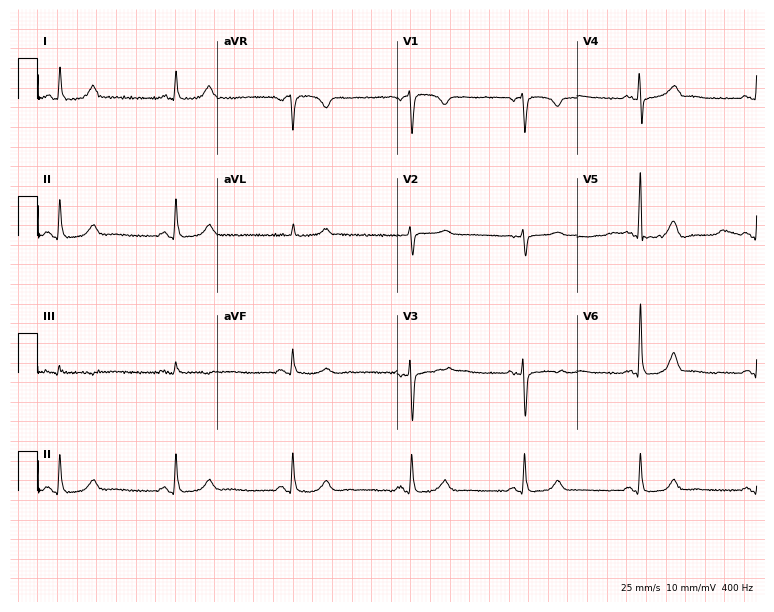
12-lead ECG from a 63-year-old female patient. Recorded interpretation: within normal limits.